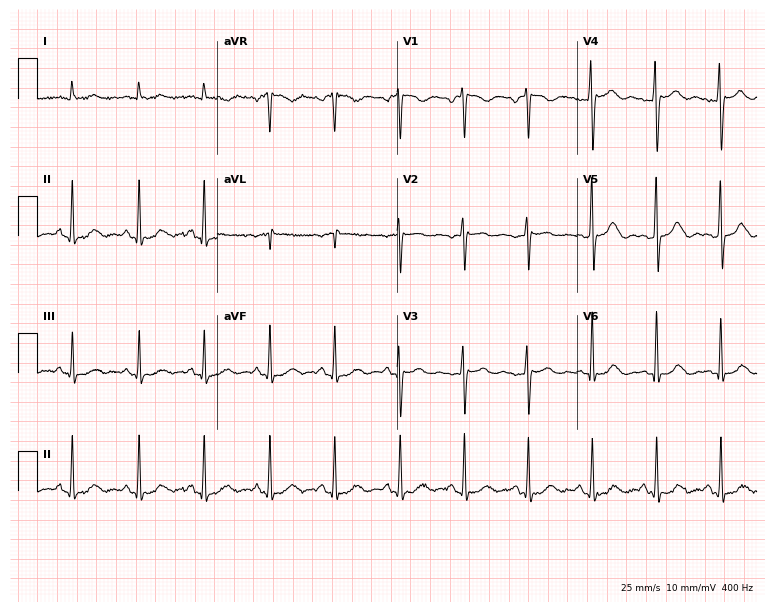
12-lead ECG from a woman, 52 years old (7.3-second recording at 400 Hz). No first-degree AV block, right bundle branch block, left bundle branch block, sinus bradycardia, atrial fibrillation or sinus tachycardia recorded for this tracing.